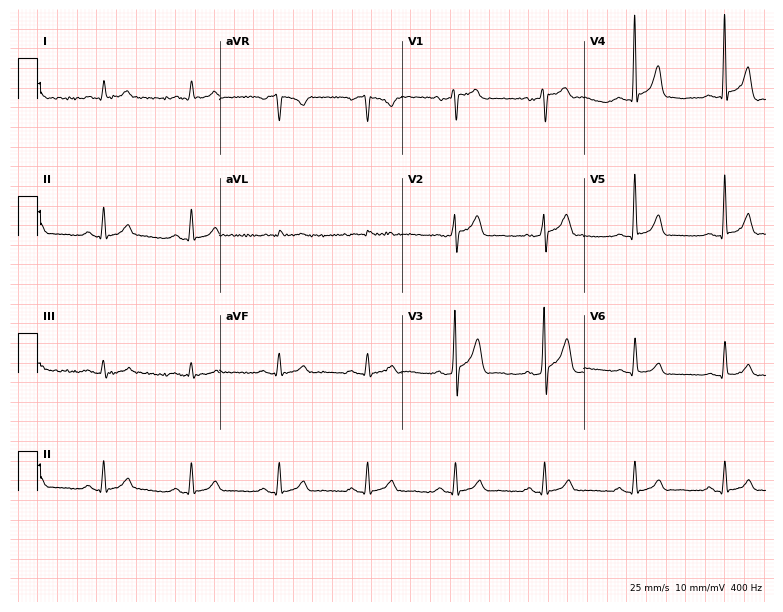
12-lead ECG from a man, 48 years old. Screened for six findings — first-degree AV block, right bundle branch block, left bundle branch block, sinus bradycardia, atrial fibrillation, sinus tachycardia — none is recorded. Other findings, if any, are not listed.